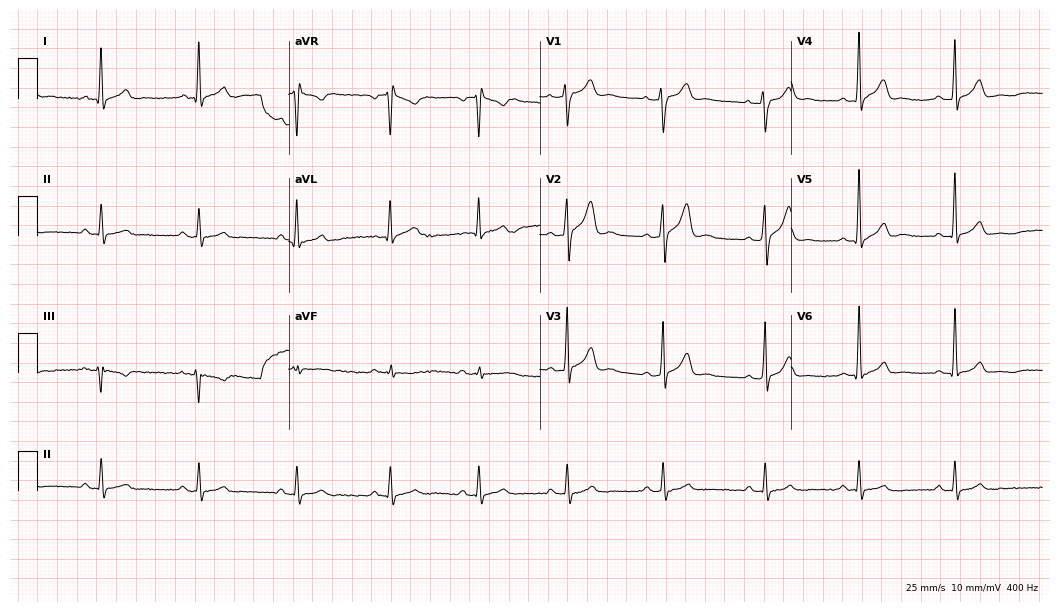
Standard 12-lead ECG recorded from a man, 27 years old. Read as a normal ECG.